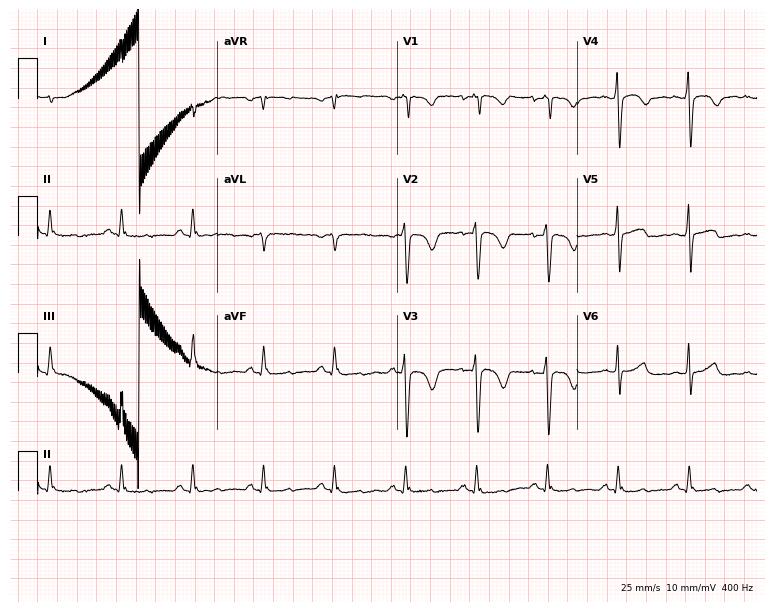
12-lead ECG from an 85-year-old man (7.3-second recording at 400 Hz). No first-degree AV block, right bundle branch block (RBBB), left bundle branch block (LBBB), sinus bradycardia, atrial fibrillation (AF) or sinus tachycardia recorded for this tracing.